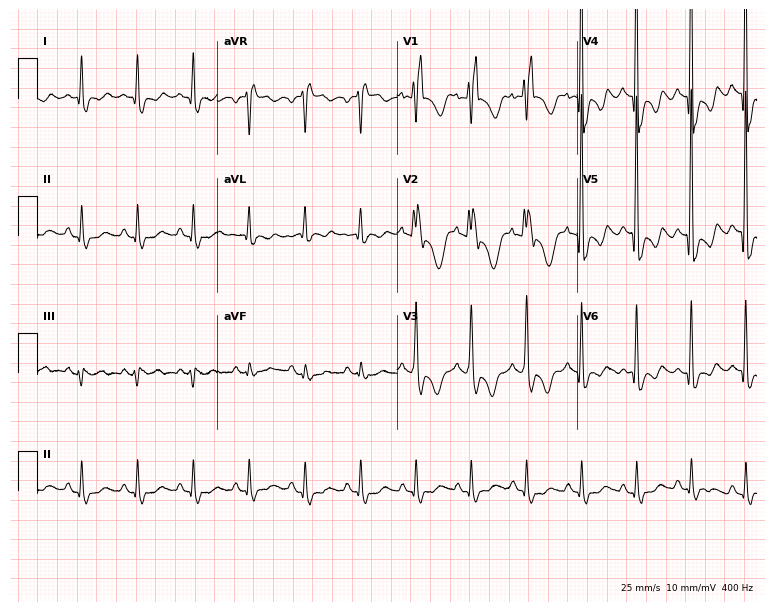
Standard 12-lead ECG recorded from a 44-year-old woman (7.3-second recording at 400 Hz). The tracing shows right bundle branch block (RBBB).